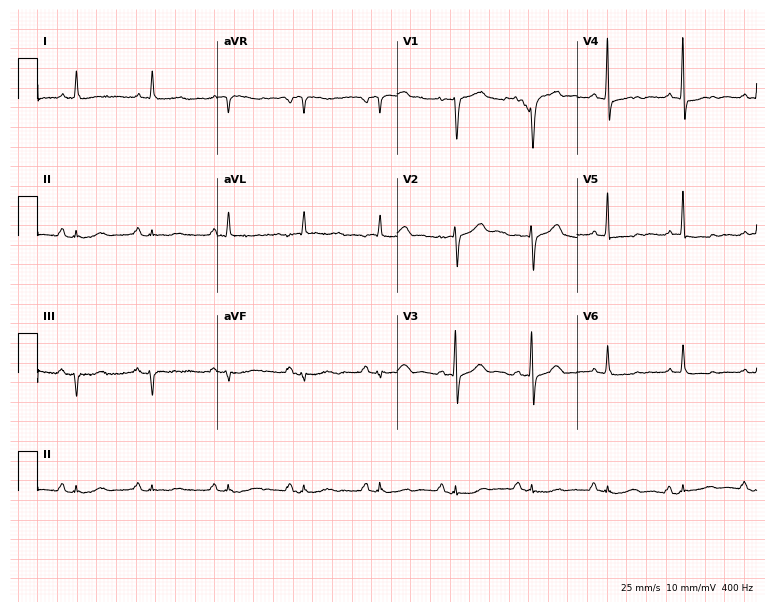
ECG — a male, 80 years old. Screened for six findings — first-degree AV block, right bundle branch block, left bundle branch block, sinus bradycardia, atrial fibrillation, sinus tachycardia — none is recorded.